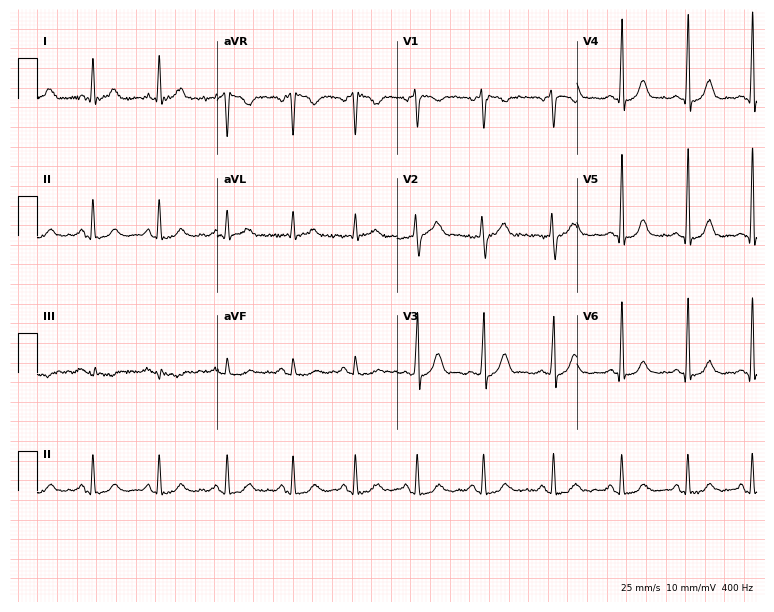
12-lead ECG (7.3-second recording at 400 Hz) from a 40-year-old woman. Screened for six findings — first-degree AV block, right bundle branch block, left bundle branch block, sinus bradycardia, atrial fibrillation, sinus tachycardia — none is recorded. Findings outside these six are not listed.